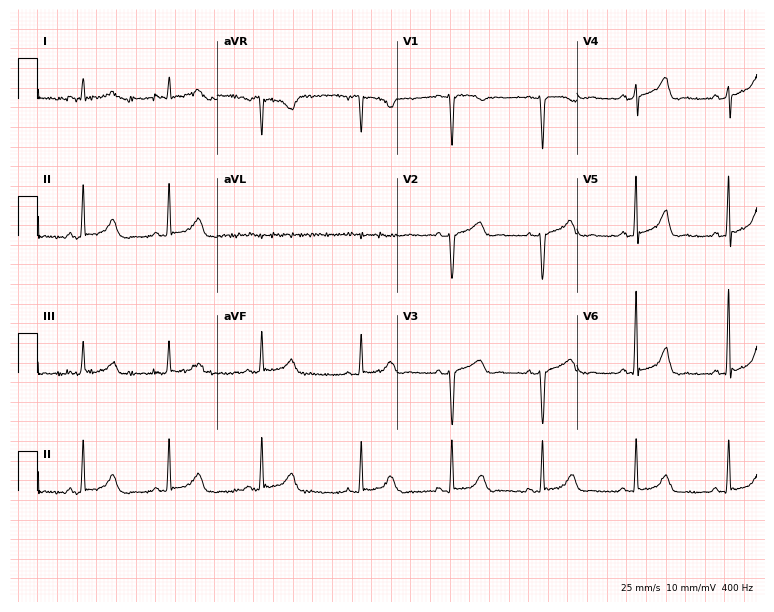
Resting 12-lead electrocardiogram (7.3-second recording at 400 Hz). Patient: a 53-year-old female. None of these six findings is recorded: first-degree AV block, right bundle branch block, left bundle branch block, sinus bradycardia, atrial fibrillation, sinus tachycardia. Findings outside these six are not listed.